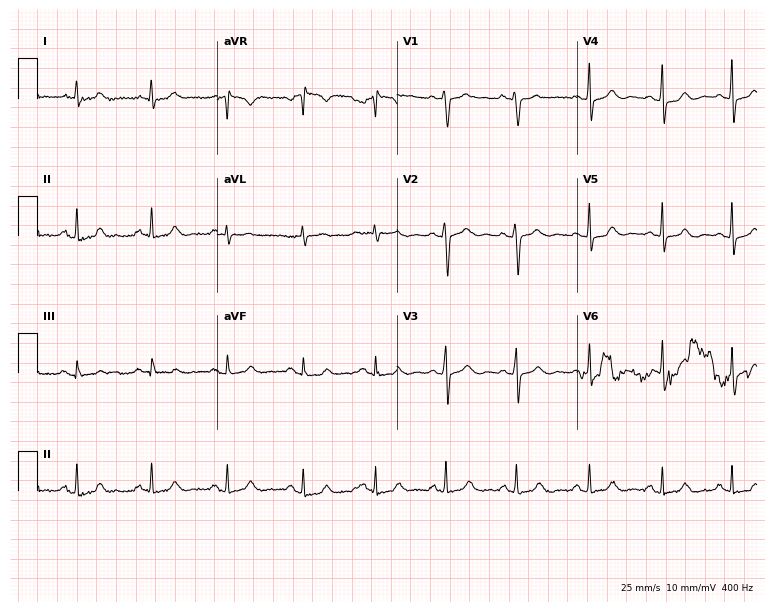
Electrocardiogram, a woman, 47 years old. Overall reading on record: normal ECG.